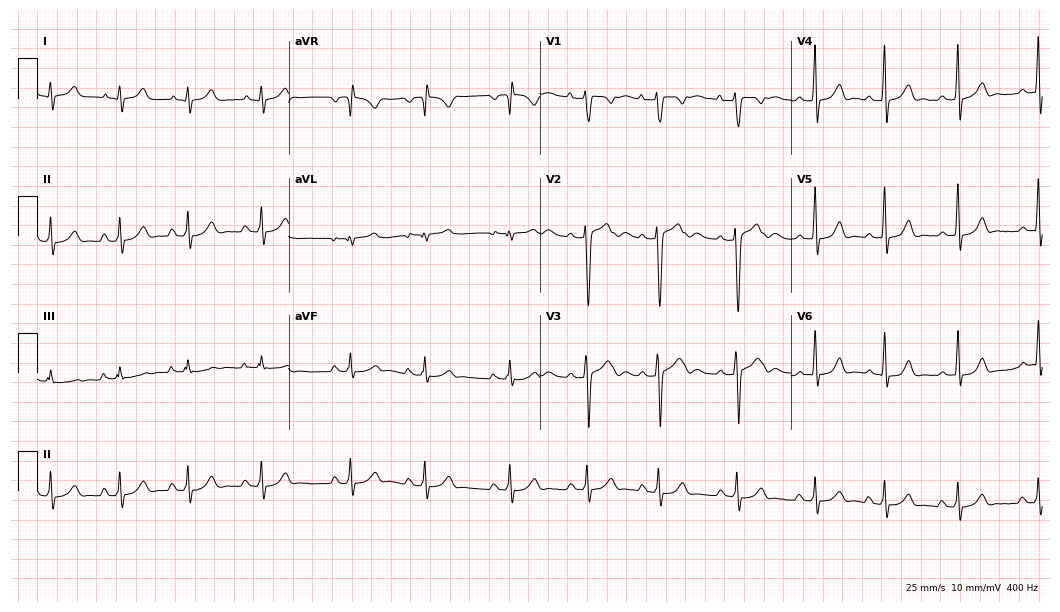
Standard 12-lead ECG recorded from a 27-year-old male. Read as a normal ECG.